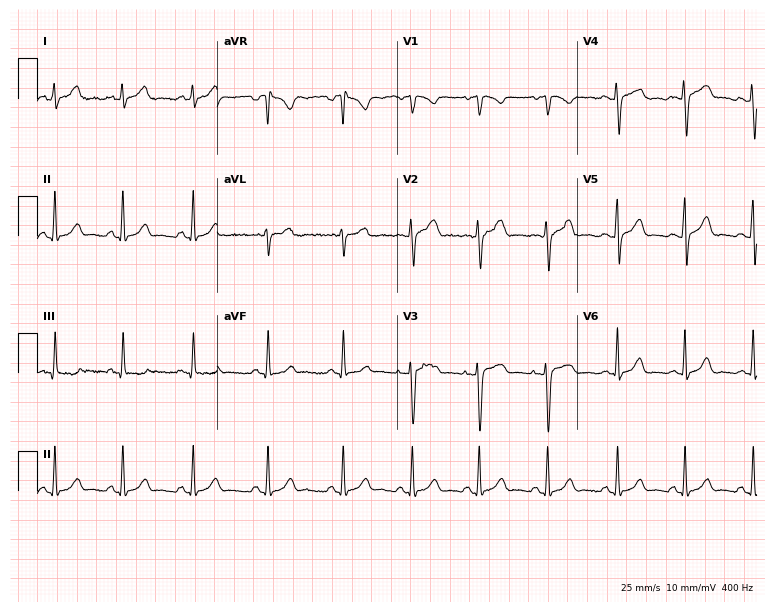
Standard 12-lead ECG recorded from a woman, 20 years old. Read as a normal ECG.